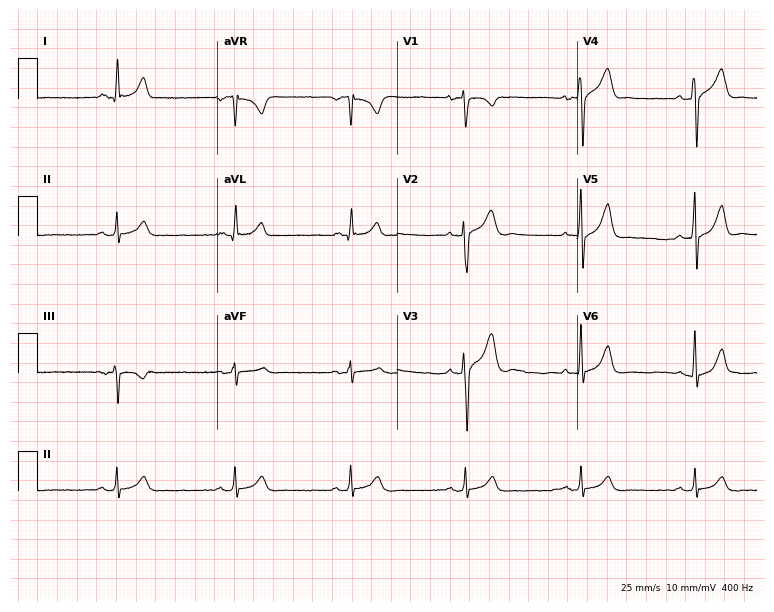
Standard 12-lead ECG recorded from a 47-year-old male patient. Read as a normal ECG.